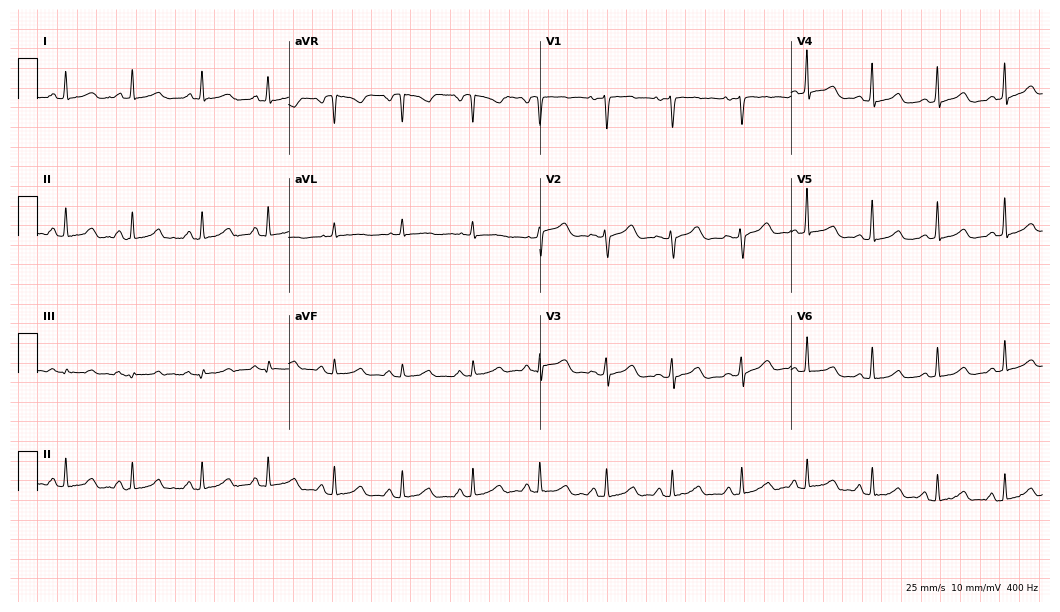
12-lead ECG (10.2-second recording at 400 Hz) from a female, 46 years old. Labelled as a normal ECG.